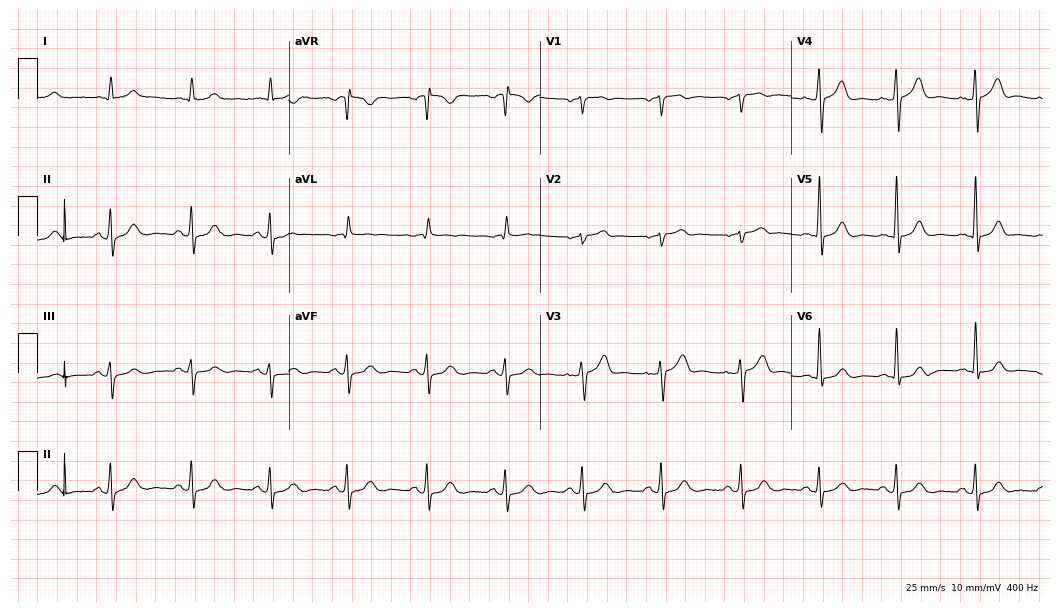
Standard 12-lead ECG recorded from a 70-year-old male patient (10.2-second recording at 400 Hz). None of these six findings is recorded: first-degree AV block, right bundle branch block, left bundle branch block, sinus bradycardia, atrial fibrillation, sinus tachycardia. Only these six findings were labelled.